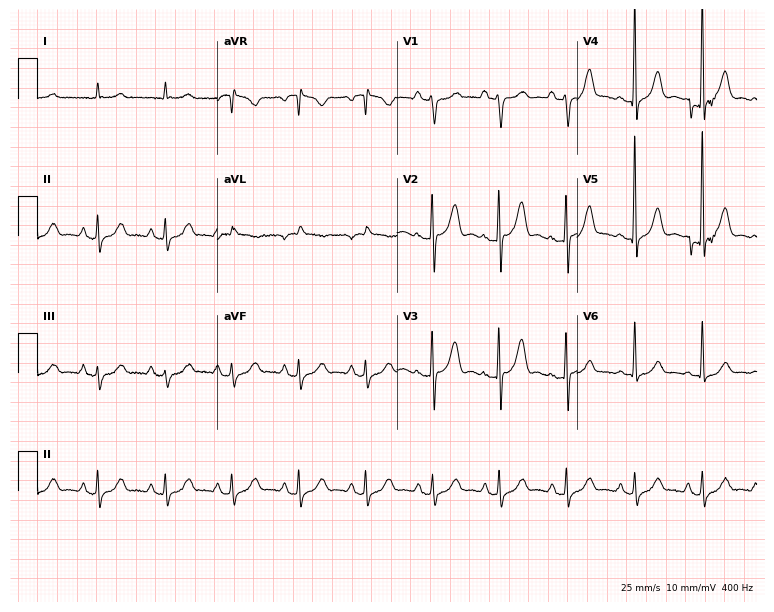
Electrocardiogram, a 78-year-old male. Overall reading on record: normal ECG.